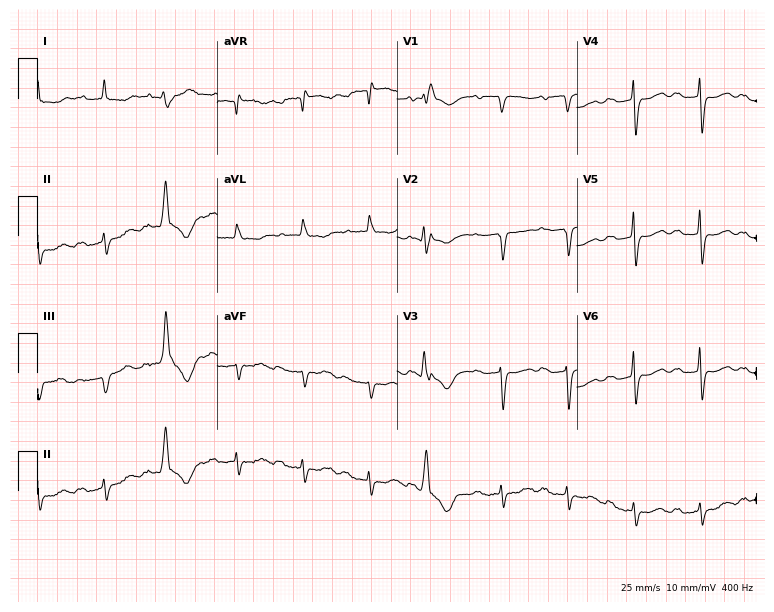
Electrocardiogram, an 85-year-old woman. Interpretation includes first-degree AV block.